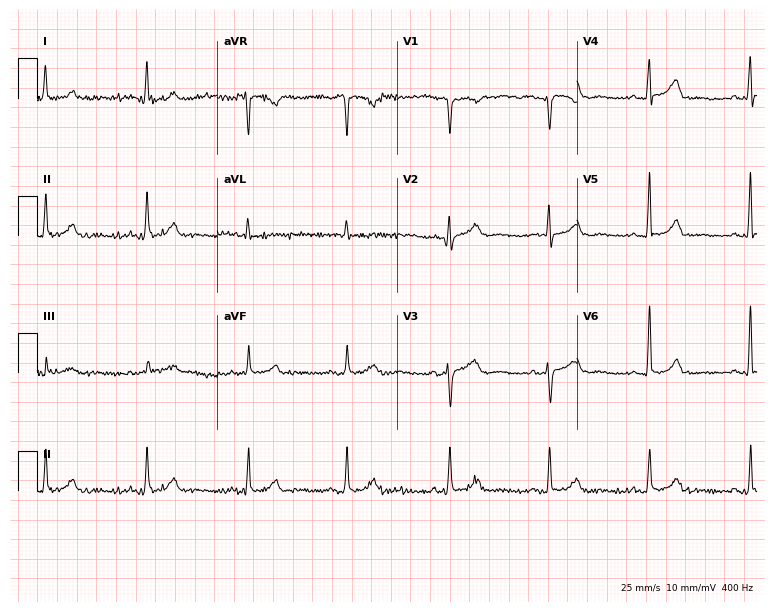
12-lead ECG (7.3-second recording at 400 Hz) from a male, 65 years old. Labelled as a normal ECG.